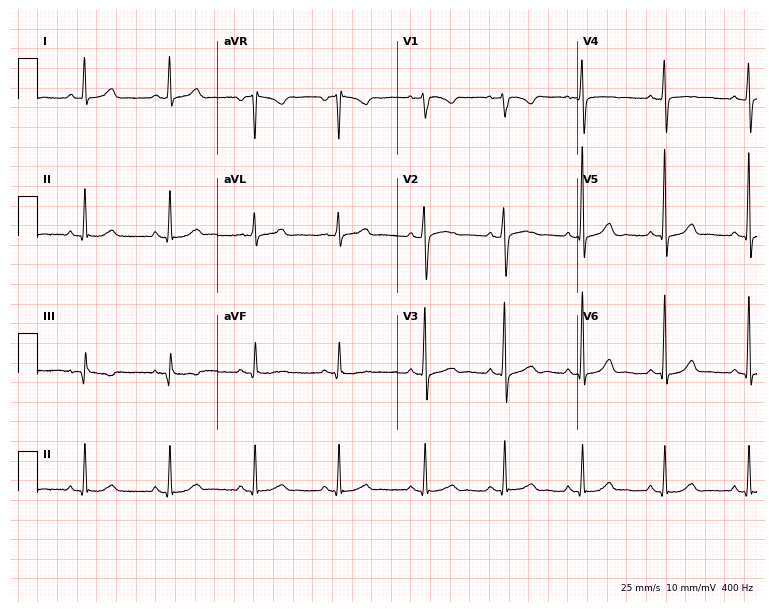
ECG (7.3-second recording at 400 Hz) — a 48-year-old female. Labelled as a normal ECG.